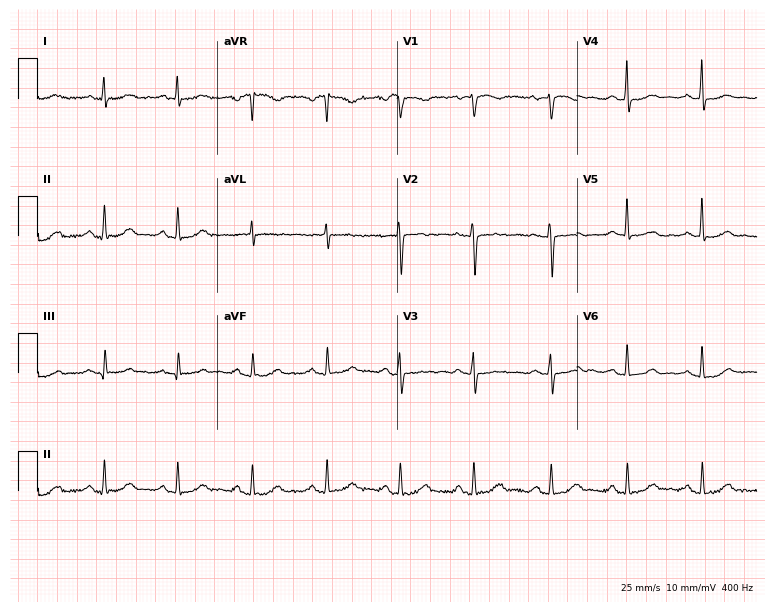
Electrocardiogram (7.3-second recording at 400 Hz), a 67-year-old female. Of the six screened findings (first-degree AV block, right bundle branch block (RBBB), left bundle branch block (LBBB), sinus bradycardia, atrial fibrillation (AF), sinus tachycardia), none is recorded.